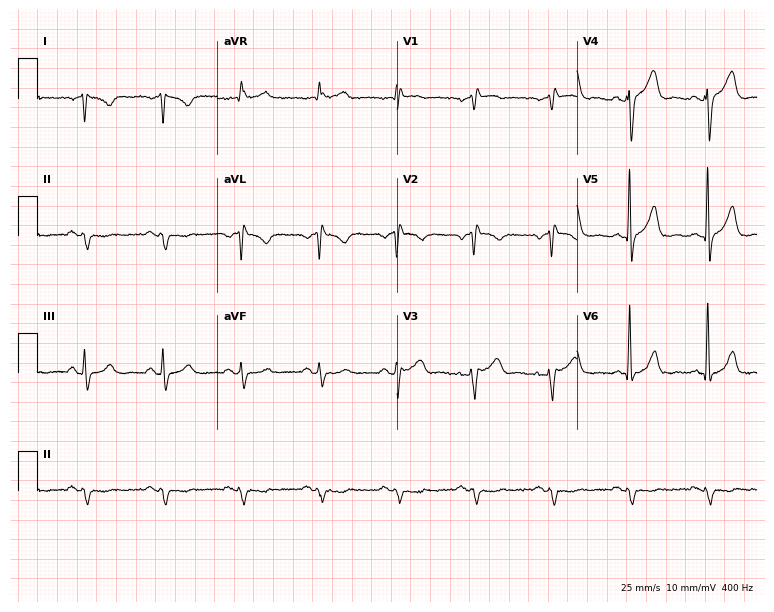
Electrocardiogram, a 65-year-old male patient. Of the six screened findings (first-degree AV block, right bundle branch block (RBBB), left bundle branch block (LBBB), sinus bradycardia, atrial fibrillation (AF), sinus tachycardia), none is recorded.